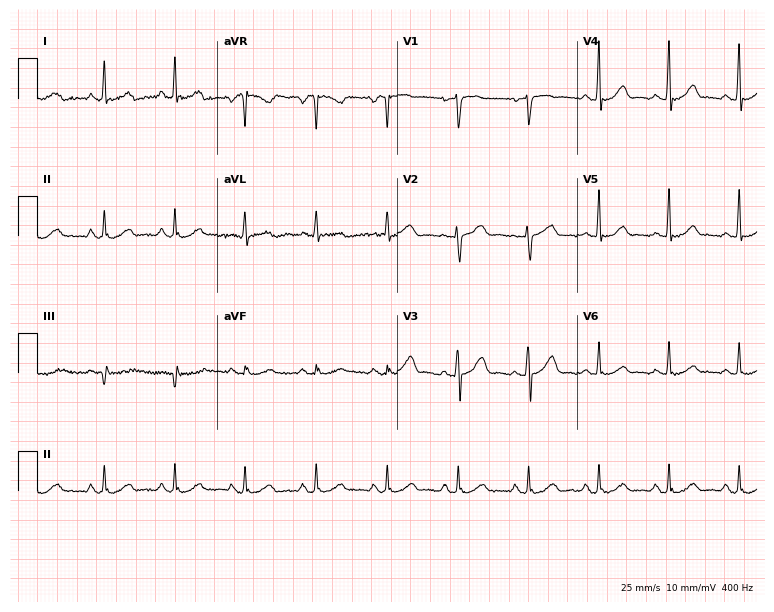
Standard 12-lead ECG recorded from a woman, 65 years old. Read as a normal ECG.